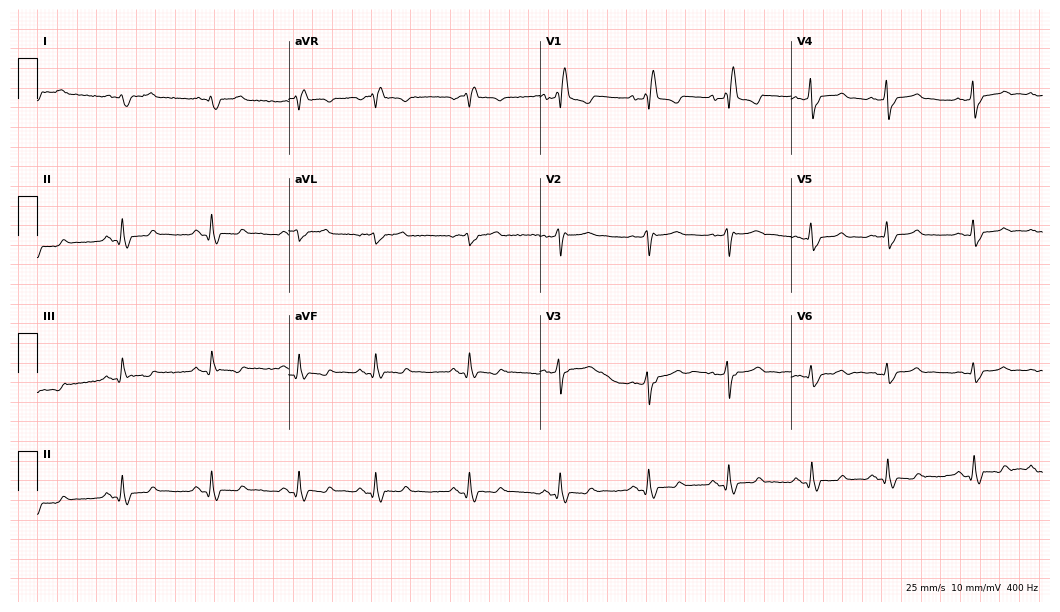
Standard 12-lead ECG recorded from a male, 67 years old. The tracing shows right bundle branch block (RBBB).